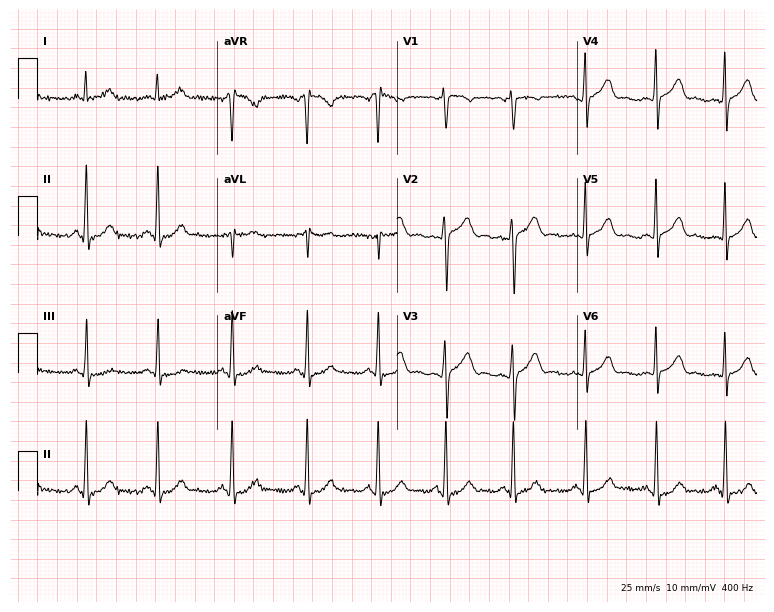
Resting 12-lead electrocardiogram (7.3-second recording at 400 Hz). Patient: a 21-year-old woman. Read as a normal ECG.